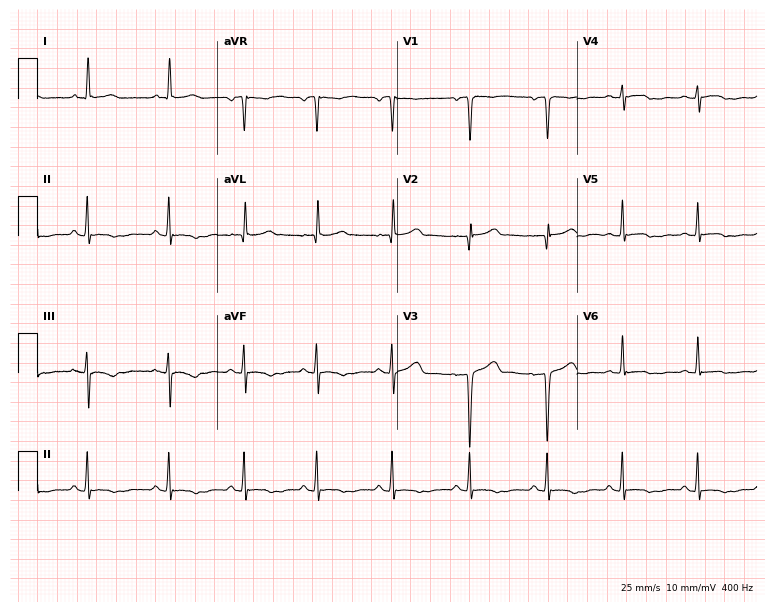
Standard 12-lead ECG recorded from a 40-year-old female patient (7.3-second recording at 400 Hz). None of these six findings is recorded: first-degree AV block, right bundle branch block, left bundle branch block, sinus bradycardia, atrial fibrillation, sinus tachycardia. Other findings, if any, are not listed.